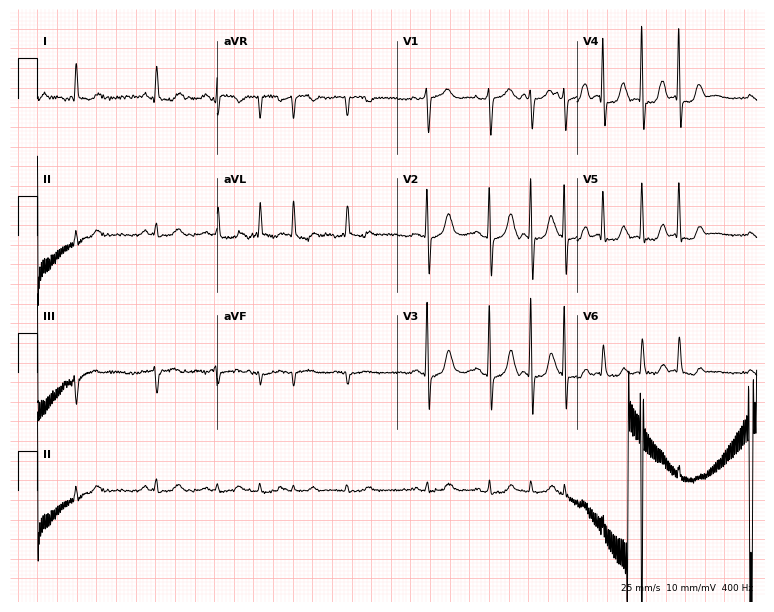
ECG (7.3-second recording at 400 Hz) — a female, 81 years old. Findings include sinus tachycardia (a sinus rate of 100 beats per minute or more).